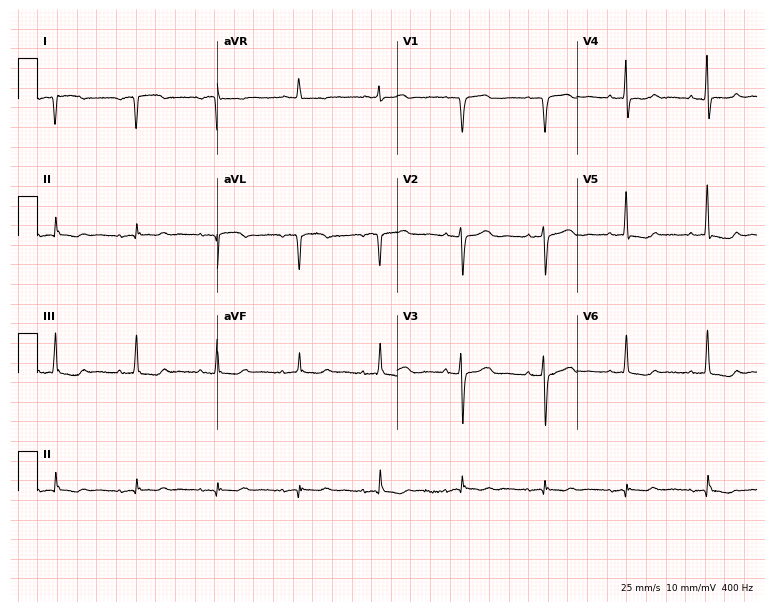
Electrocardiogram, a 73-year-old female. Of the six screened findings (first-degree AV block, right bundle branch block, left bundle branch block, sinus bradycardia, atrial fibrillation, sinus tachycardia), none is recorded.